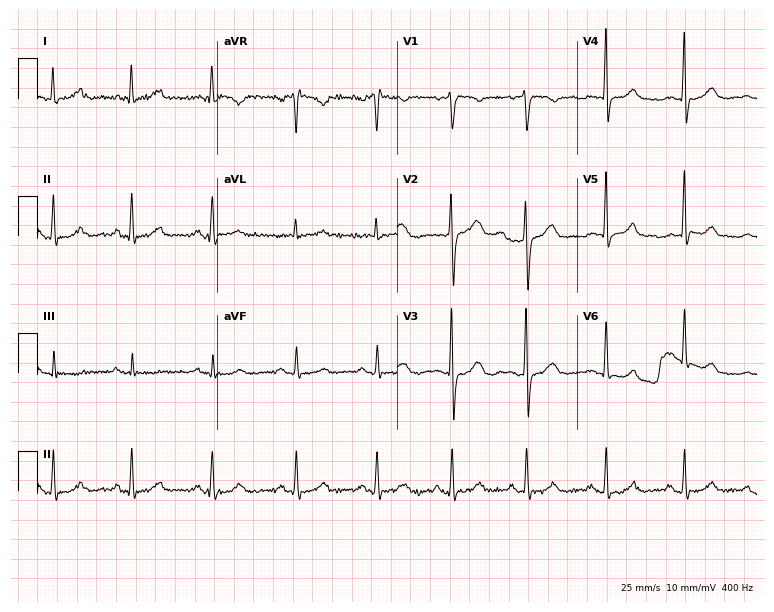
12-lead ECG from a 46-year-old female (7.3-second recording at 400 Hz). Recorded interpretation: within normal limits.